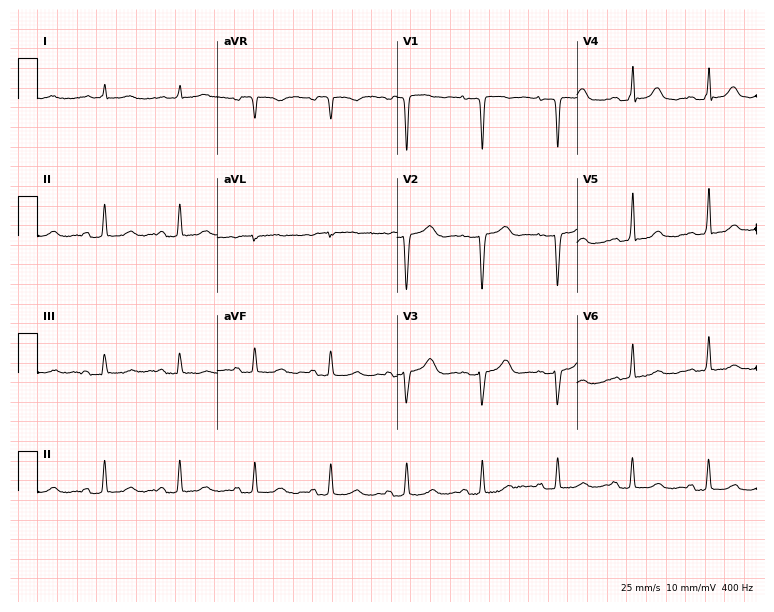
Resting 12-lead electrocardiogram. Patient: a 64-year-old woman. None of these six findings is recorded: first-degree AV block, right bundle branch block, left bundle branch block, sinus bradycardia, atrial fibrillation, sinus tachycardia.